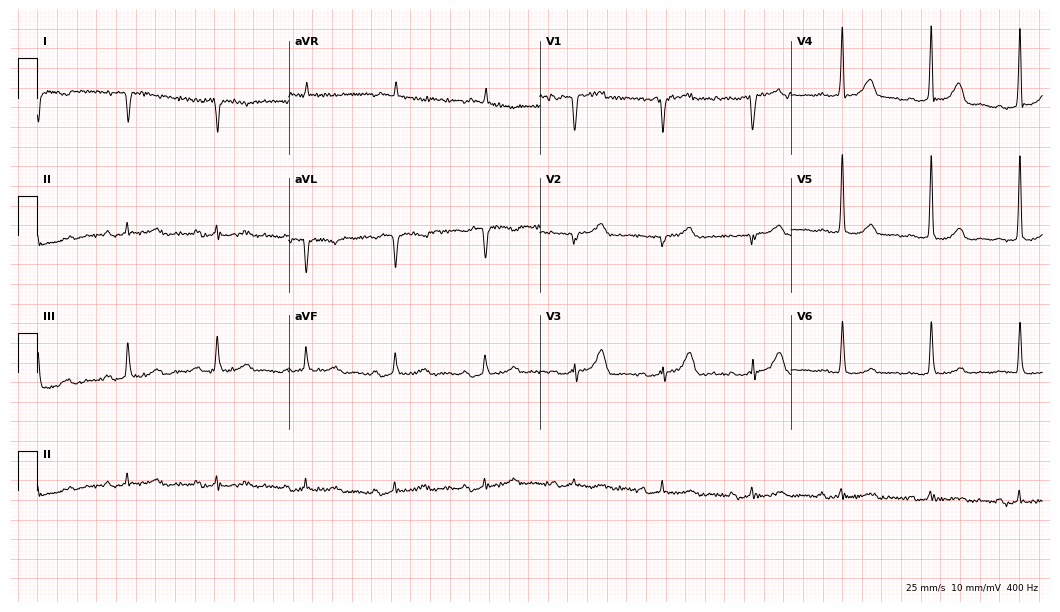
12-lead ECG (10.2-second recording at 400 Hz) from a male patient, 76 years old. Screened for six findings — first-degree AV block, right bundle branch block (RBBB), left bundle branch block (LBBB), sinus bradycardia, atrial fibrillation (AF), sinus tachycardia — none is recorded. Findings outside these six are not listed.